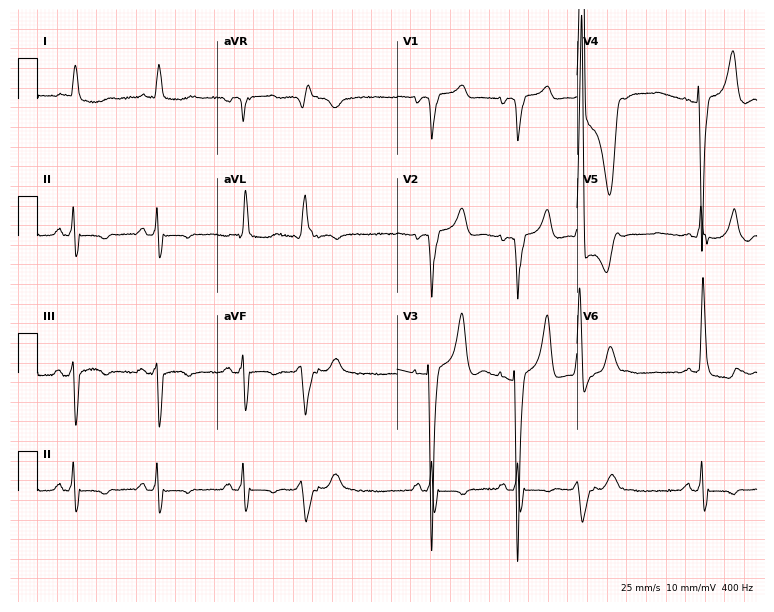
Resting 12-lead electrocardiogram (7.3-second recording at 400 Hz). Patient: an 81-year-old male. None of these six findings is recorded: first-degree AV block, right bundle branch block, left bundle branch block, sinus bradycardia, atrial fibrillation, sinus tachycardia. Other findings, if any, are not listed.